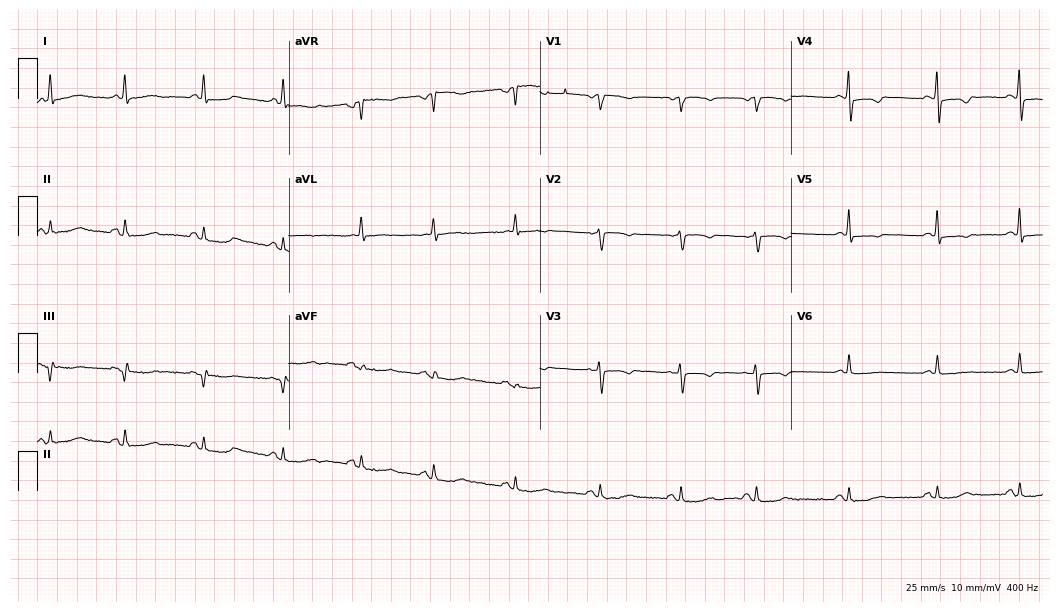
12-lead ECG (10.2-second recording at 400 Hz) from a female, 71 years old. Screened for six findings — first-degree AV block, right bundle branch block, left bundle branch block, sinus bradycardia, atrial fibrillation, sinus tachycardia — none is recorded. Other findings, if any, are not listed.